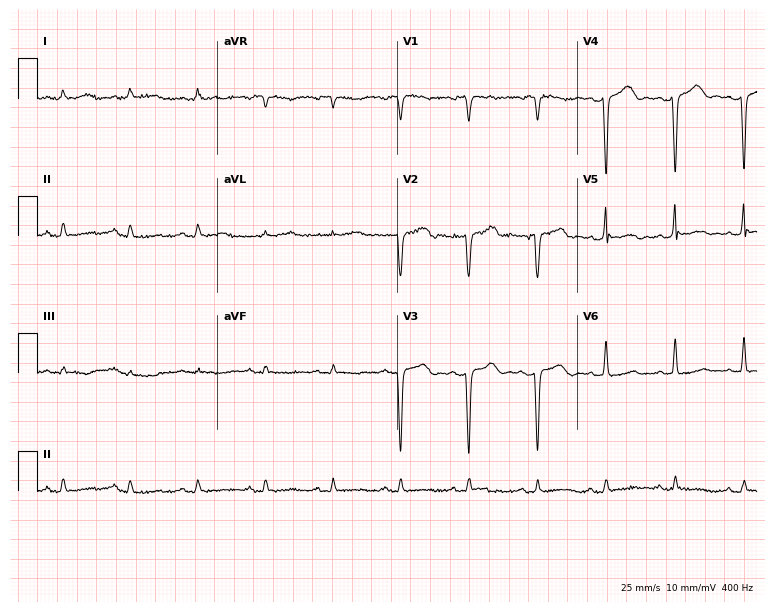
12-lead ECG (7.3-second recording at 400 Hz) from a female patient, 81 years old. Screened for six findings — first-degree AV block, right bundle branch block (RBBB), left bundle branch block (LBBB), sinus bradycardia, atrial fibrillation (AF), sinus tachycardia — none is recorded. Only these six findings were labelled.